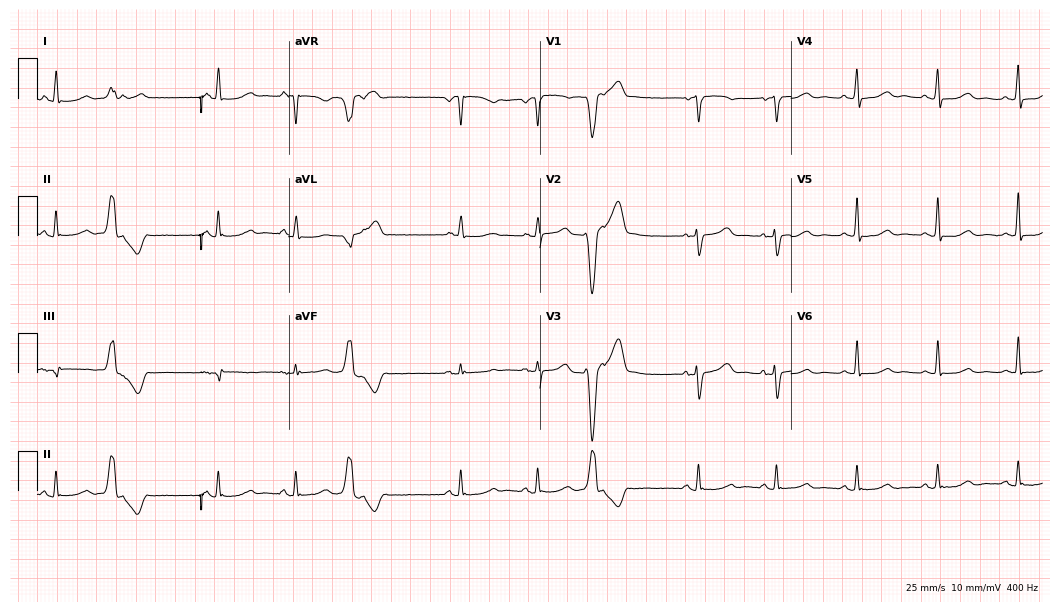
12-lead ECG from a woman, 69 years old (10.2-second recording at 400 Hz). No first-degree AV block, right bundle branch block, left bundle branch block, sinus bradycardia, atrial fibrillation or sinus tachycardia recorded for this tracing. Findings outside these six are not listed.